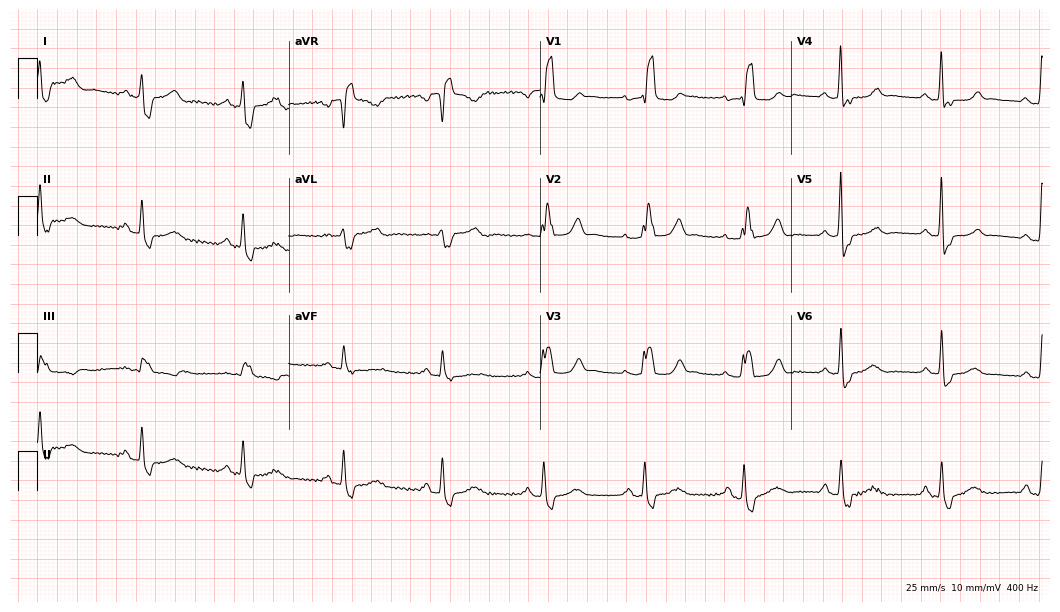
Resting 12-lead electrocardiogram. Patient: a 73-year-old female. The tracing shows right bundle branch block.